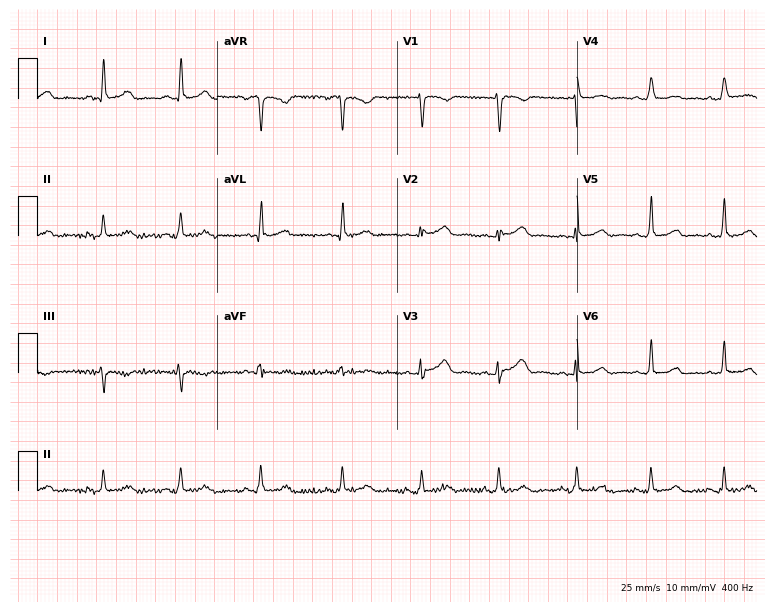
ECG — a female, 32 years old. Screened for six findings — first-degree AV block, right bundle branch block (RBBB), left bundle branch block (LBBB), sinus bradycardia, atrial fibrillation (AF), sinus tachycardia — none is recorded. Other findings, if any, are not listed.